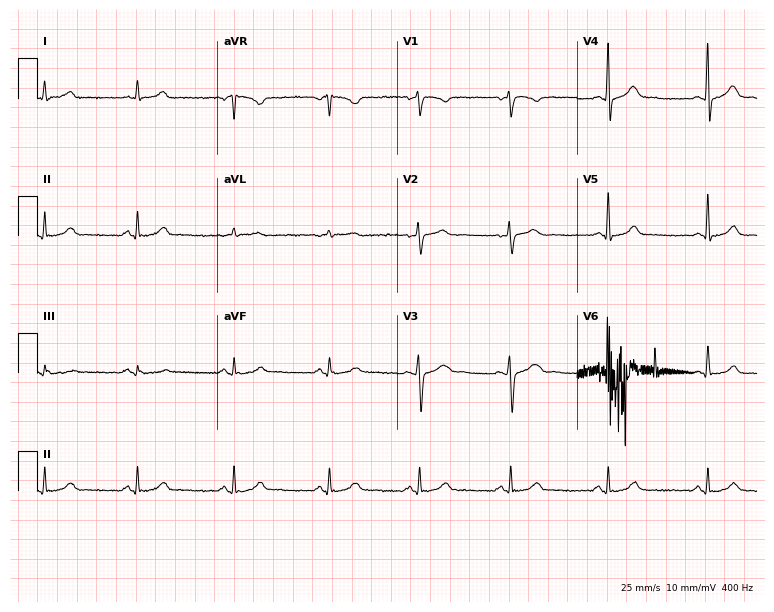
ECG — a female patient, 39 years old. Labelled as a normal ECG.